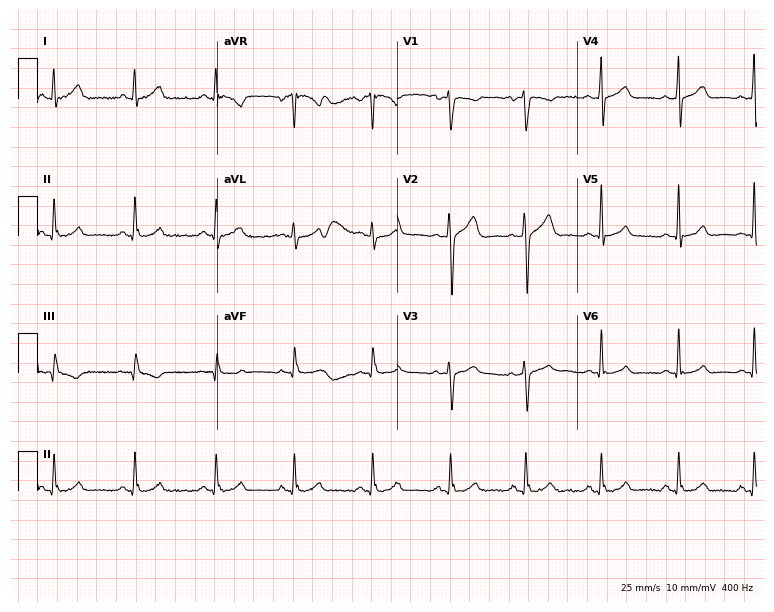
Resting 12-lead electrocardiogram (7.3-second recording at 400 Hz). Patient: a man, 26 years old. Read as a normal ECG.